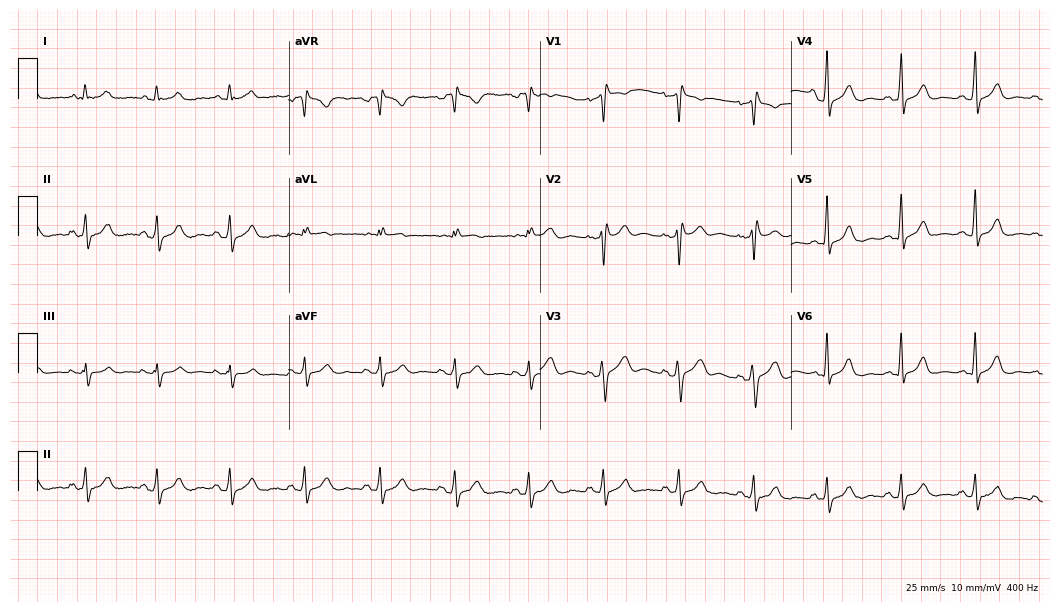
12-lead ECG from a man, 52 years old (10.2-second recording at 400 Hz). Shows right bundle branch block.